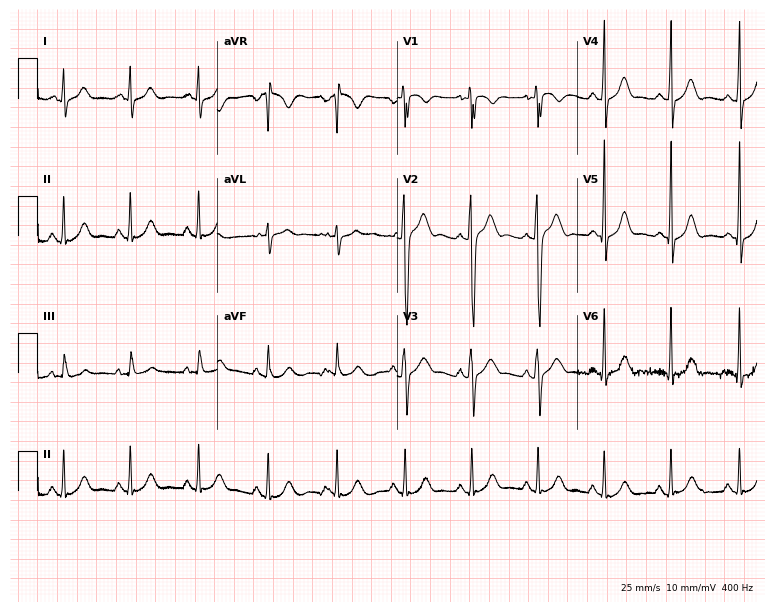
Electrocardiogram (7.3-second recording at 400 Hz), a 22-year-old man. Overall reading on record: normal ECG.